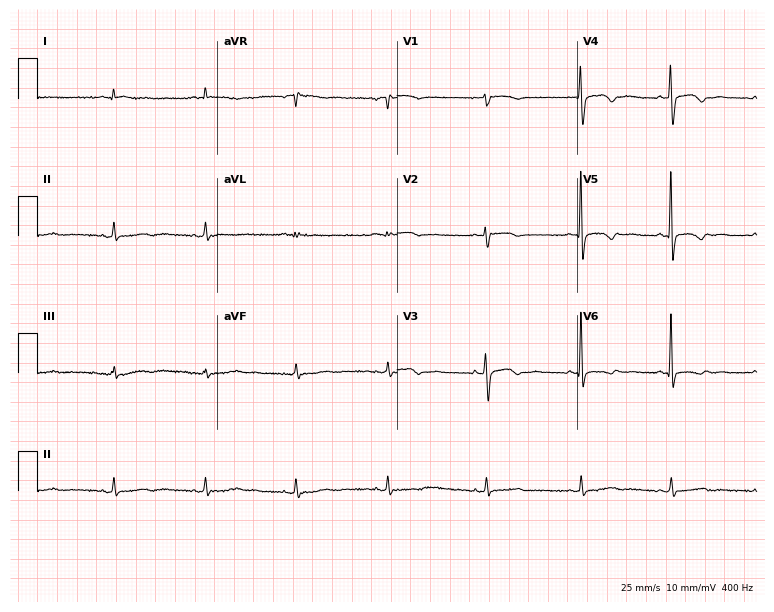
ECG (7.3-second recording at 400 Hz) — a woman, 61 years old. Screened for six findings — first-degree AV block, right bundle branch block, left bundle branch block, sinus bradycardia, atrial fibrillation, sinus tachycardia — none is recorded. Only these six findings were labelled.